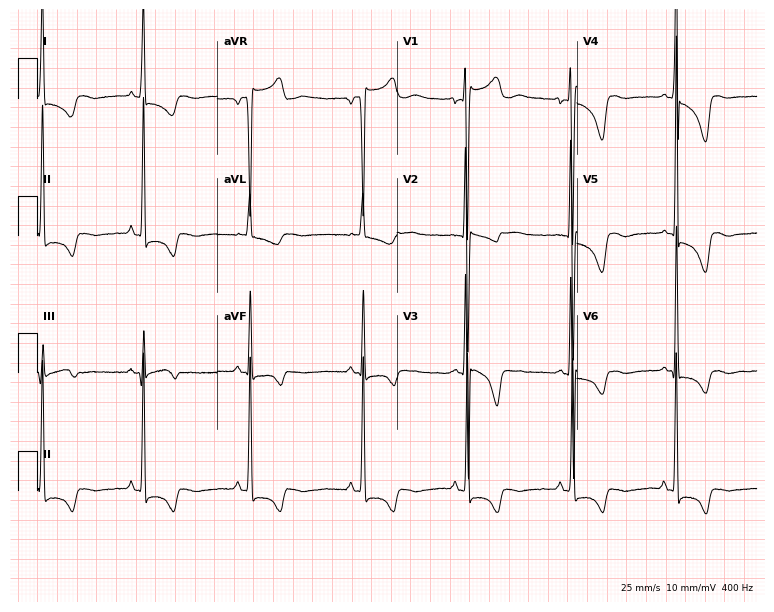
12-lead ECG (7.3-second recording at 400 Hz) from a woman, 21 years old. Screened for six findings — first-degree AV block, right bundle branch block, left bundle branch block, sinus bradycardia, atrial fibrillation, sinus tachycardia — none is recorded.